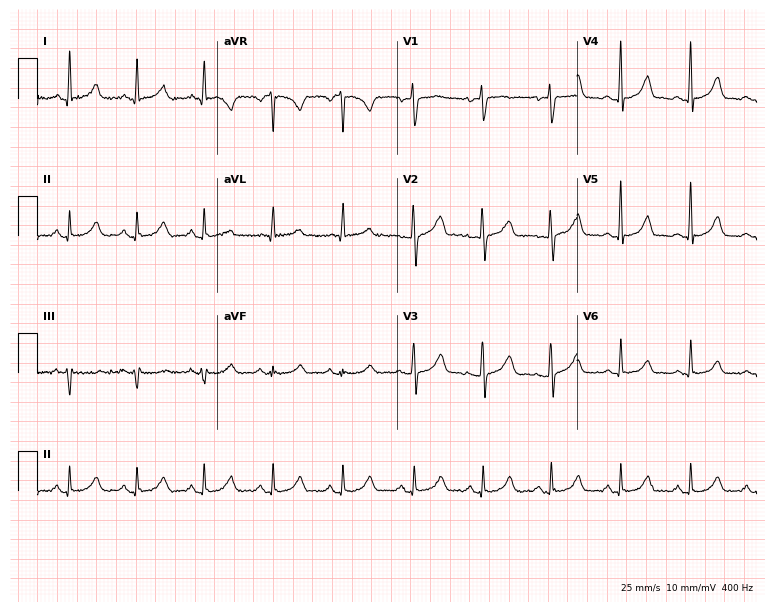
Resting 12-lead electrocardiogram. Patient: a 37-year-old woman. Read as a normal ECG.